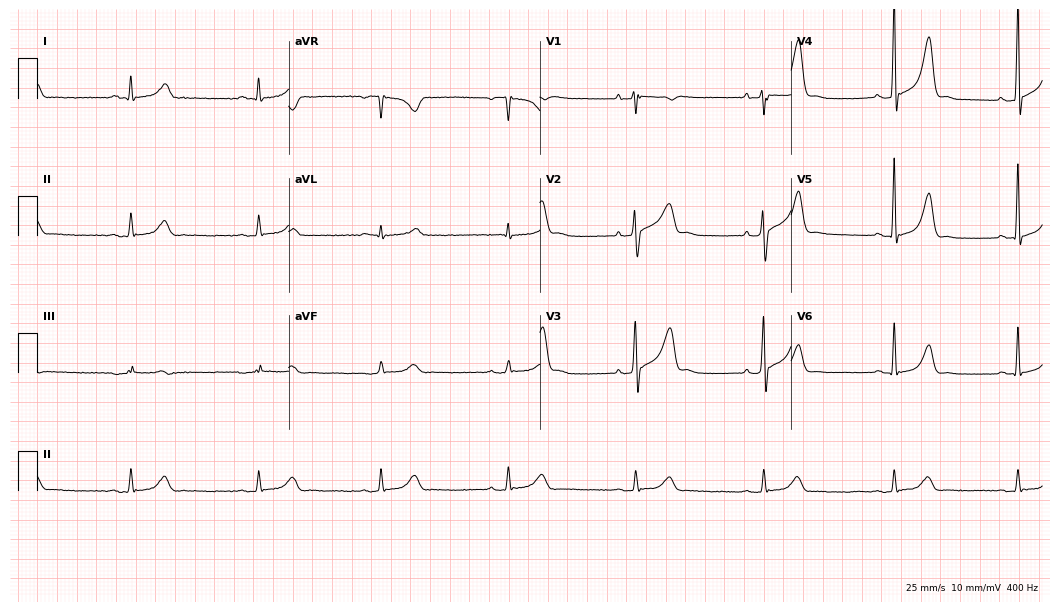
12-lead ECG (10.2-second recording at 400 Hz) from a 53-year-old man. Findings include sinus bradycardia (a sinus rate of 50 beats per minute or less).